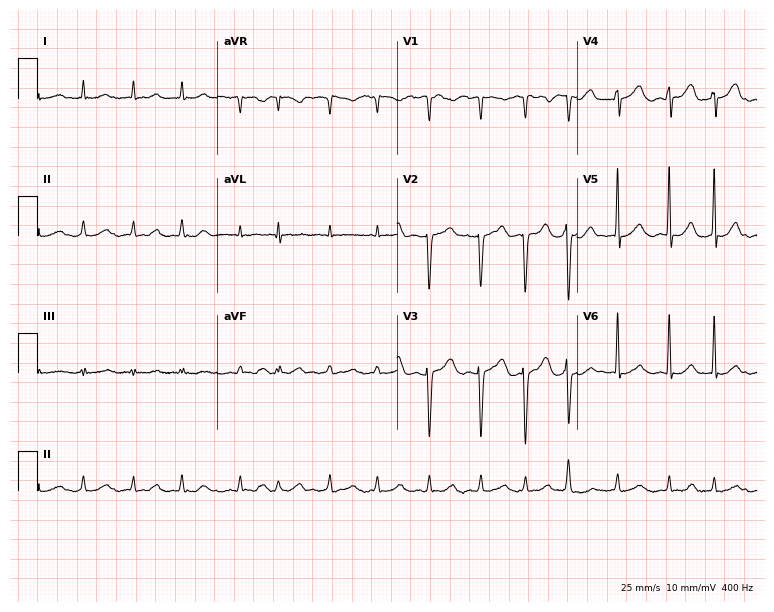
12-lead ECG from a 73-year-old female patient. Findings include atrial fibrillation.